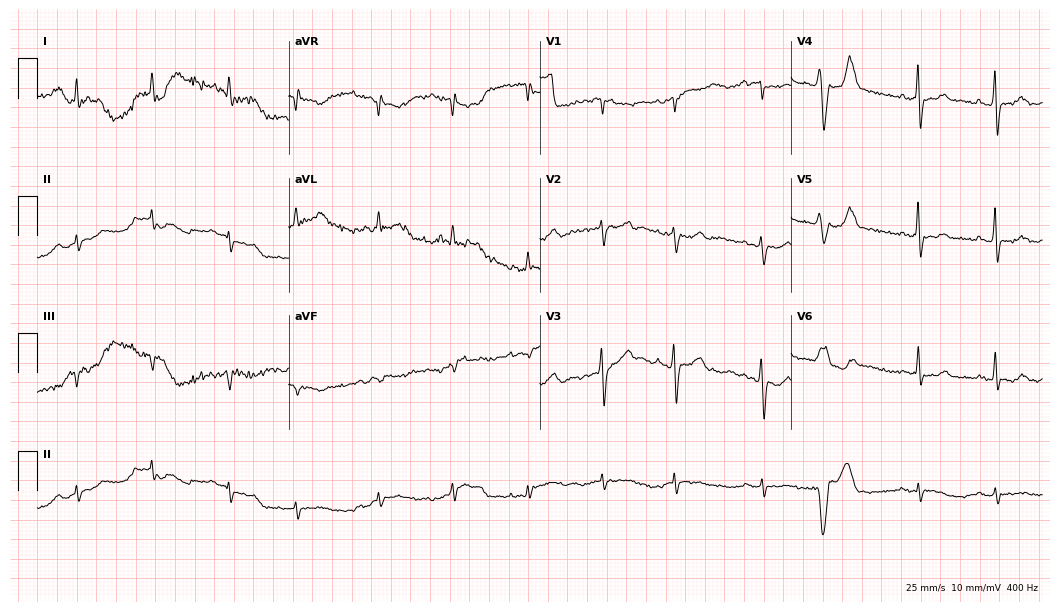
12-lead ECG from a male, 76 years old. No first-degree AV block, right bundle branch block (RBBB), left bundle branch block (LBBB), sinus bradycardia, atrial fibrillation (AF) or sinus tachycardia recorded for this tracing. Findings outside these six are not listed.